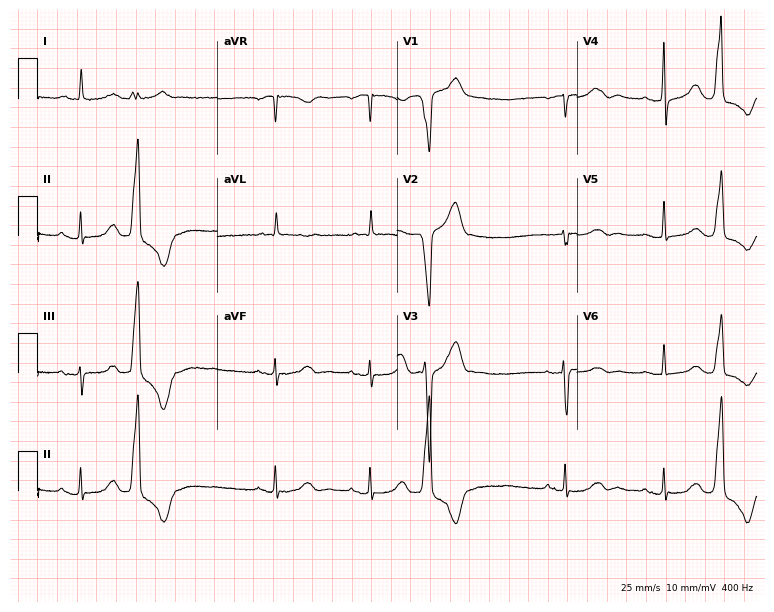
Electrocardiogram, a female patient, 73 years old. Overall reading on record: normal ECG.